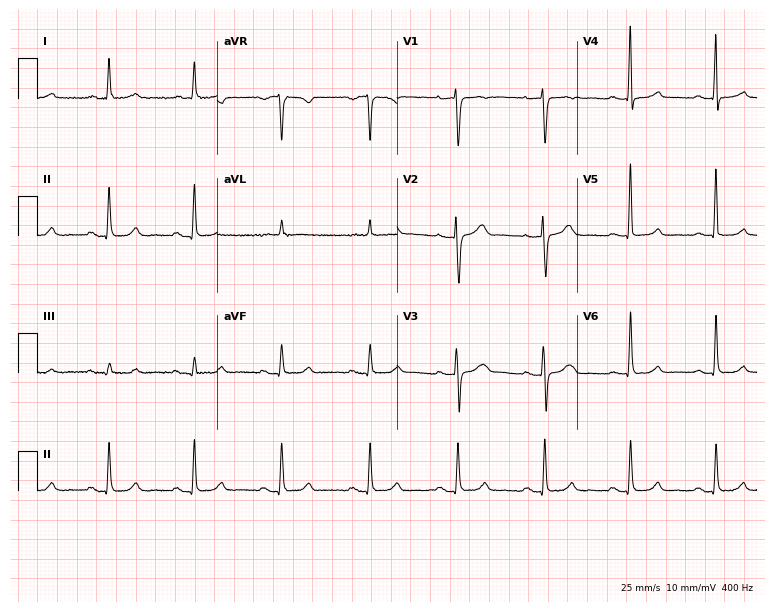
Resting 12-lead electrocardiogram (7.3-second recording at 400 Hz). Patient: a 60-year-old female. Read as a normal ECG.